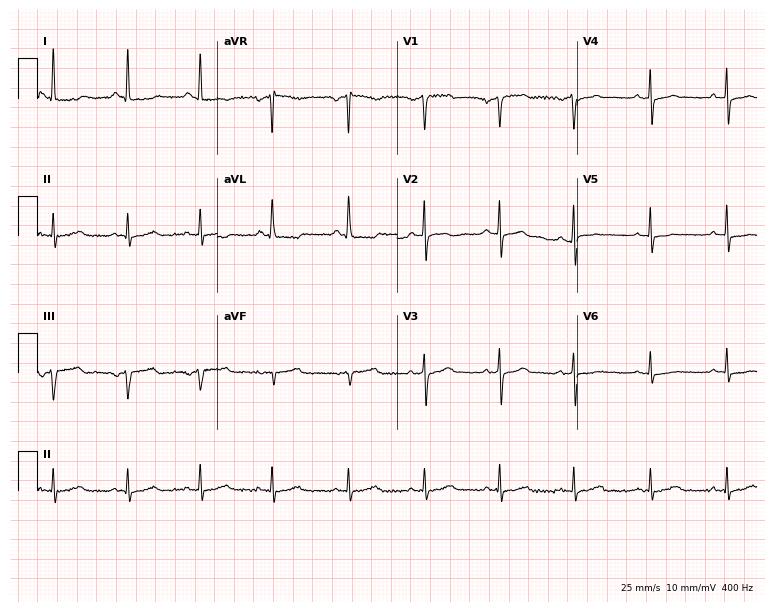
ECG — a male, 67 years old. Screened for six findings — first-degree AV block, right bundle branch block, left bundle branch block, sinus bradycardia, atrial fibrillation, sinus tachycardia — none is recorded. Other findings, if any, are not listed.